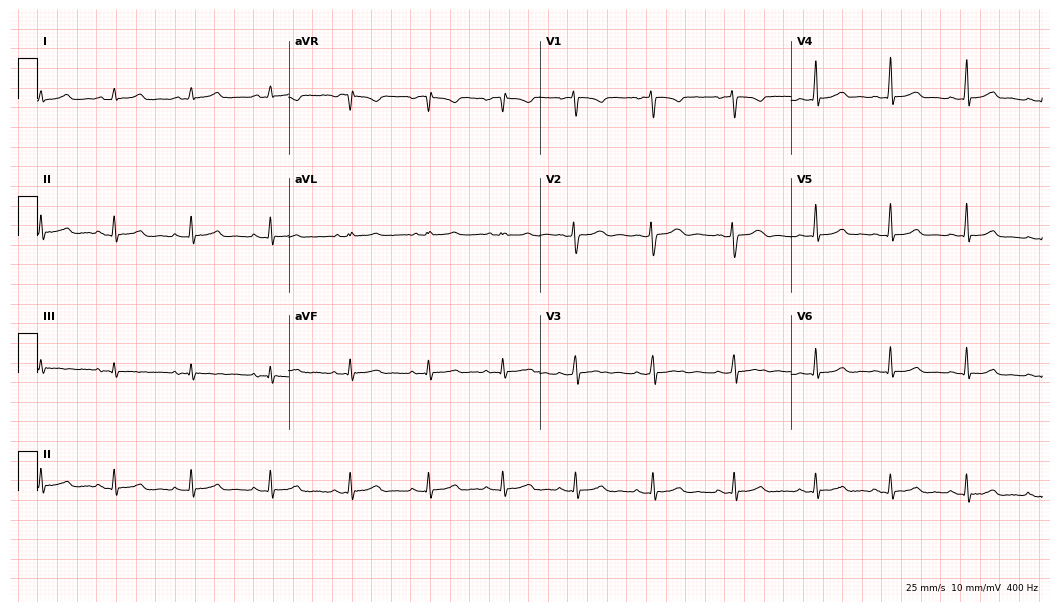
12-lead ECG from a 22-year-old woman. No first-degree AV block, right bundle branch block, left bundle branch block, sinus bradycardia, atrial fibrillation or sinus tachycardia recorded for this tracing. Only these six findings were labelled.